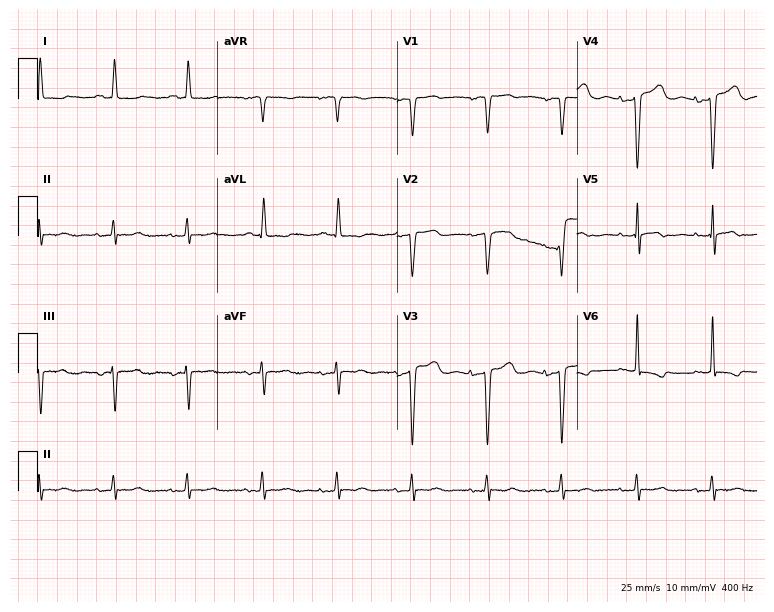
Resting 12-lead electrocardiogram (7.3-second recording at 400 Hz). Patient: a woman, 54 years old. None of these six findings is recorded: first-degree AV block, right bundle branch block, left bundle branch block, sinus bradycardia, atrial fibrillation, sinus tachycardia. Other findings, if any, are not listed.